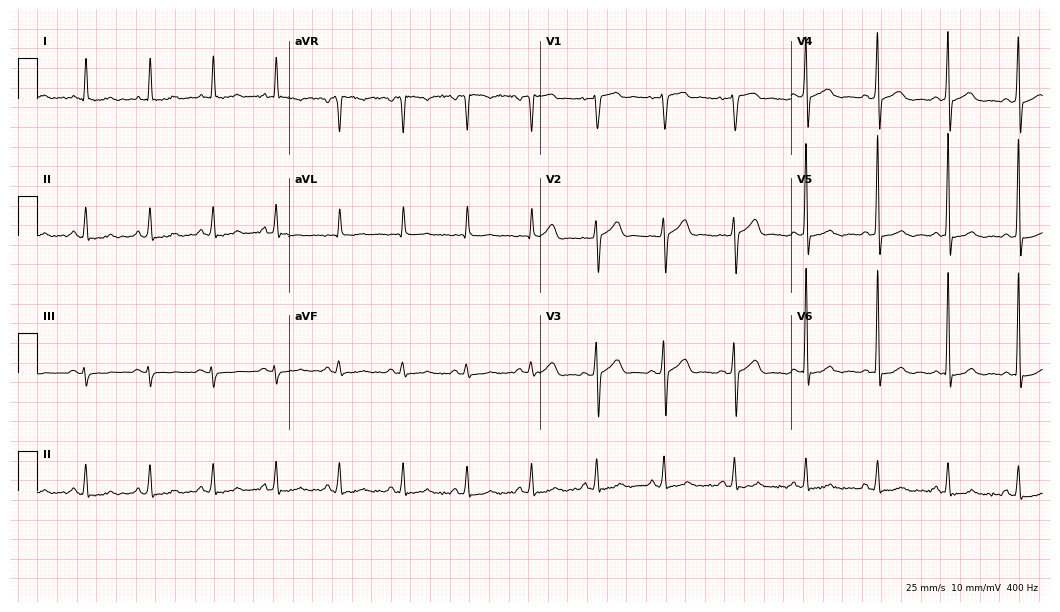
Electrocardiogram, a male, 55 years old. Overall reading on record: normal ECG.